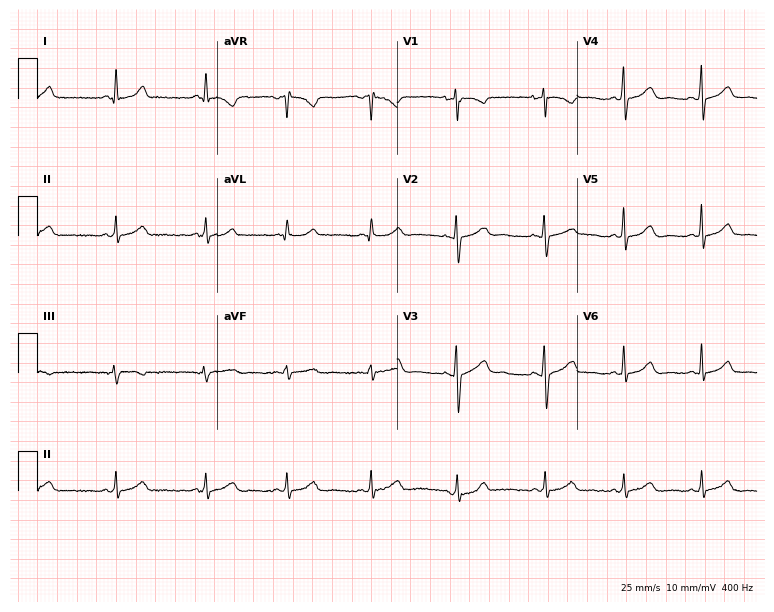
ECG (7.3-second recording at 400 Hz) — a female patient, 28 years old. Screened for six findings — first-degree AV block, right bundle branch block, left bundle branch block, sinus bradycardia, atrial fibrillation, sinus tachycardia — none is recorded. Findings outside these six are not listed.